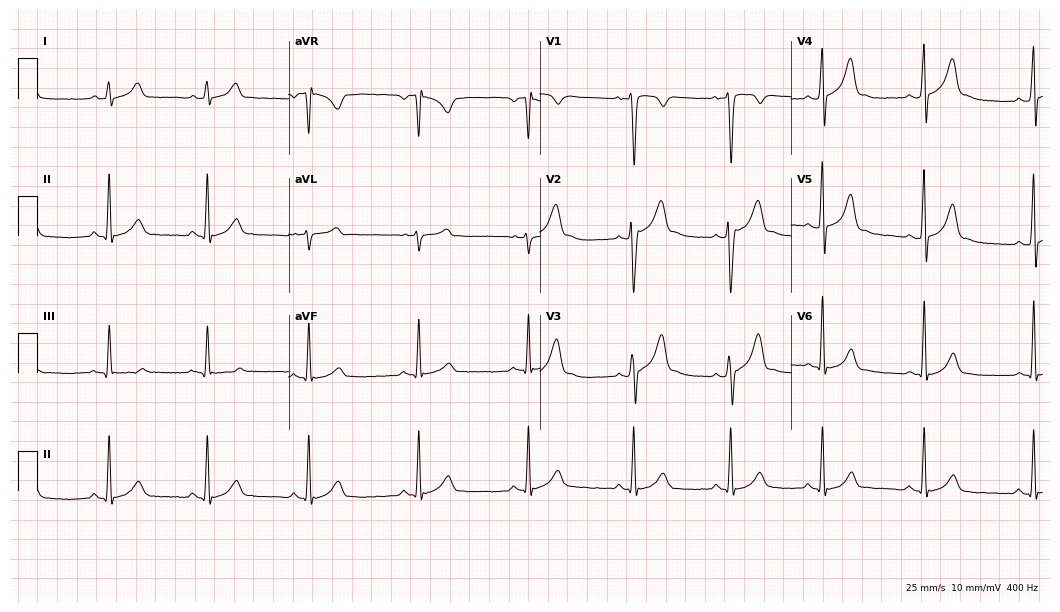
Resting 12-lead electrocardiogram. Patient: a 17-year-old male. Read as a normal ECG.